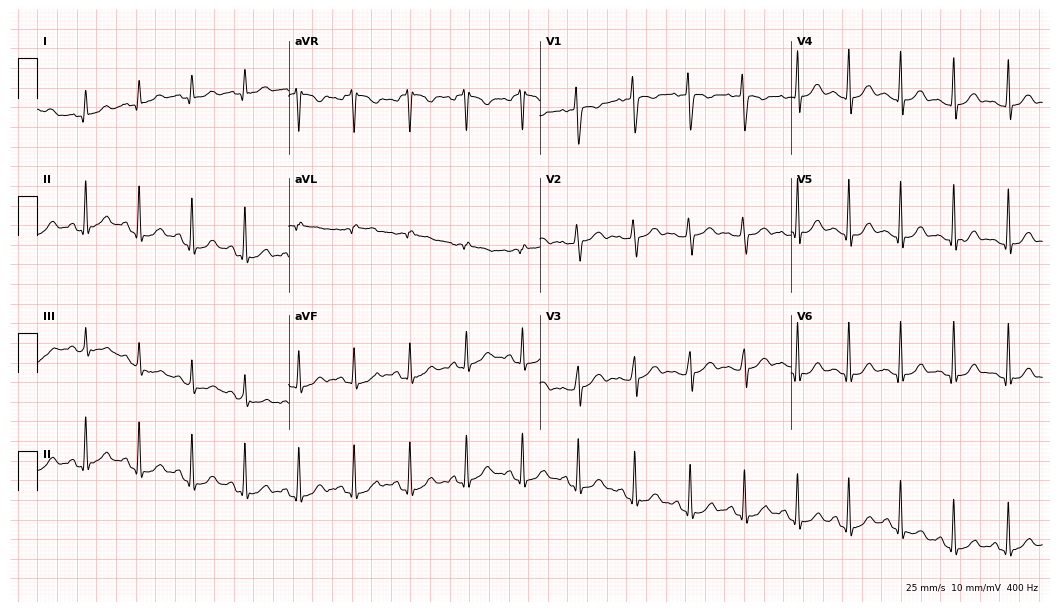
Electrocardiogram, a 31-year-old female patient. Interpretation includes sinus tachycardia (a sinus rate of 100 beats per minute or more).